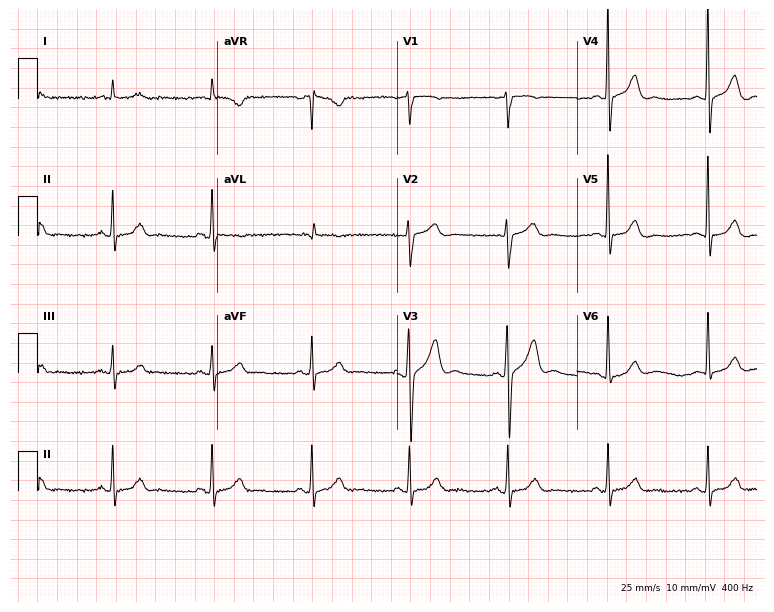
Resting 12-lead electrocardiogram (7.3-second recording at 400 Hz). Patient: a male, 76 years old. Read as a normal ECG.